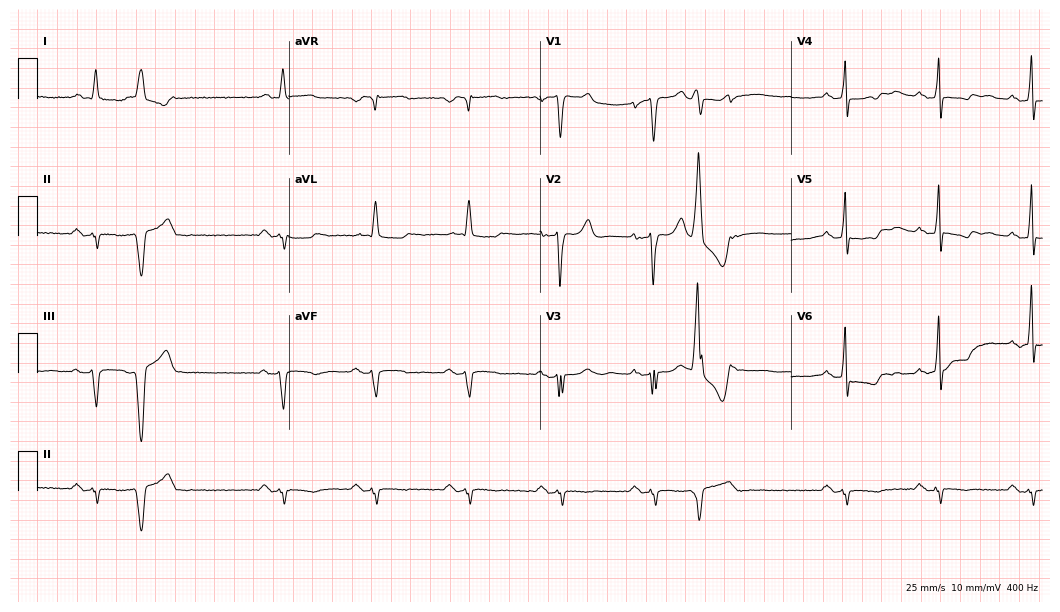
12-lead ECG (10.2-second recording at 400 Hz) from a male patient, 74 years old. Screened for six findings — first-degree AV block, right bundle branch block (RBBB), left bundle branch block (LBBB), sinus bradycardia, atrial fibrillation (AF), sinus tachycardia — none is recorded.